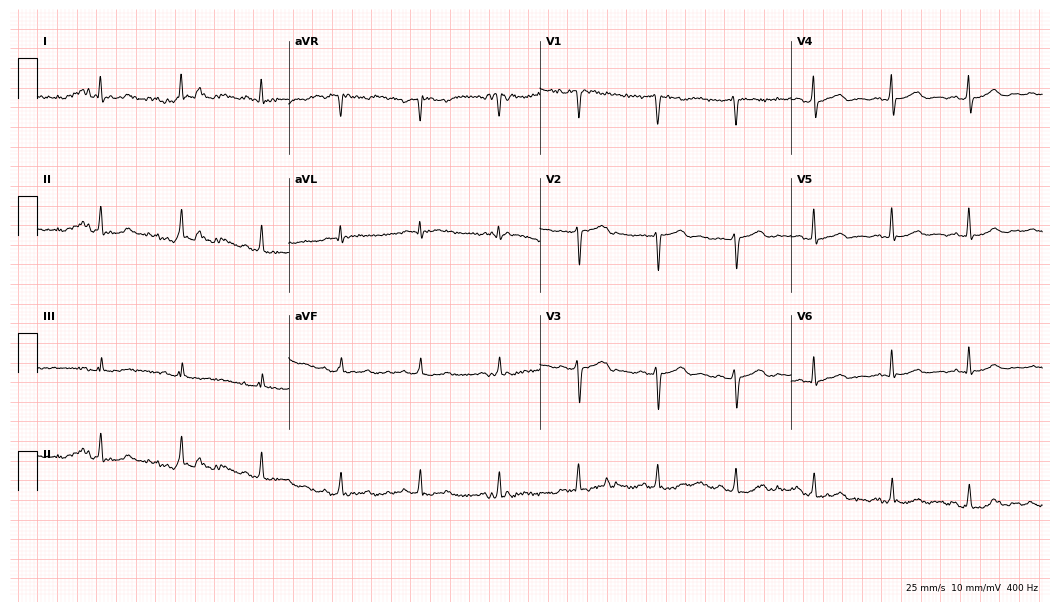
12-lead ECG from a 71-year-old man. No first-degree AV block, right bundle branch block, left bundle branch block, sinus bradycardia, atrial fibrillation or sinus tachycardia recorded for this tracing. Only these six findings were labelled.